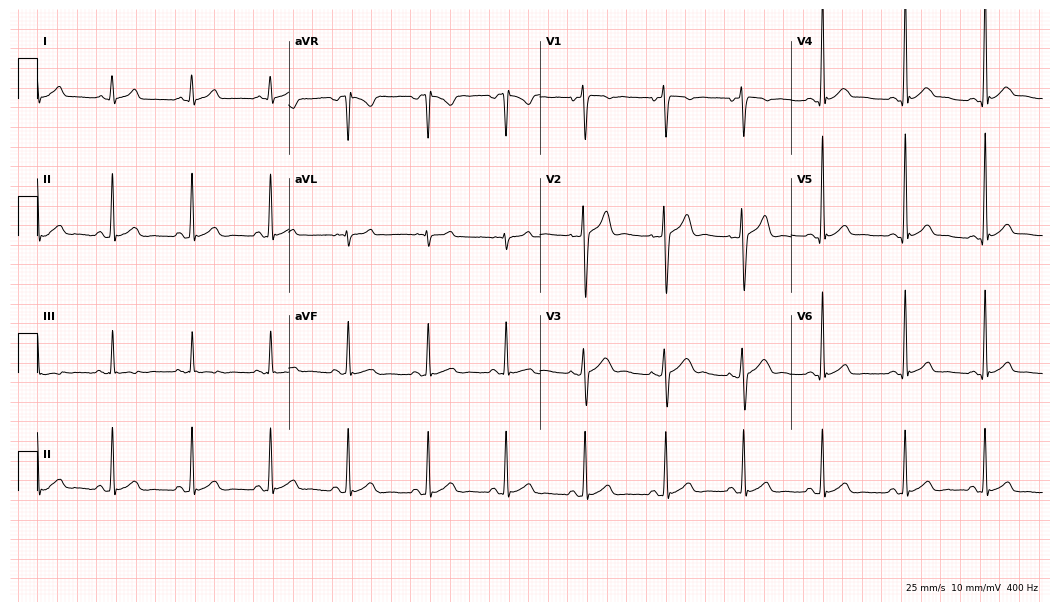
Electrocardiogram, a 21-year-old man. Overall reading on record: normal ECG.